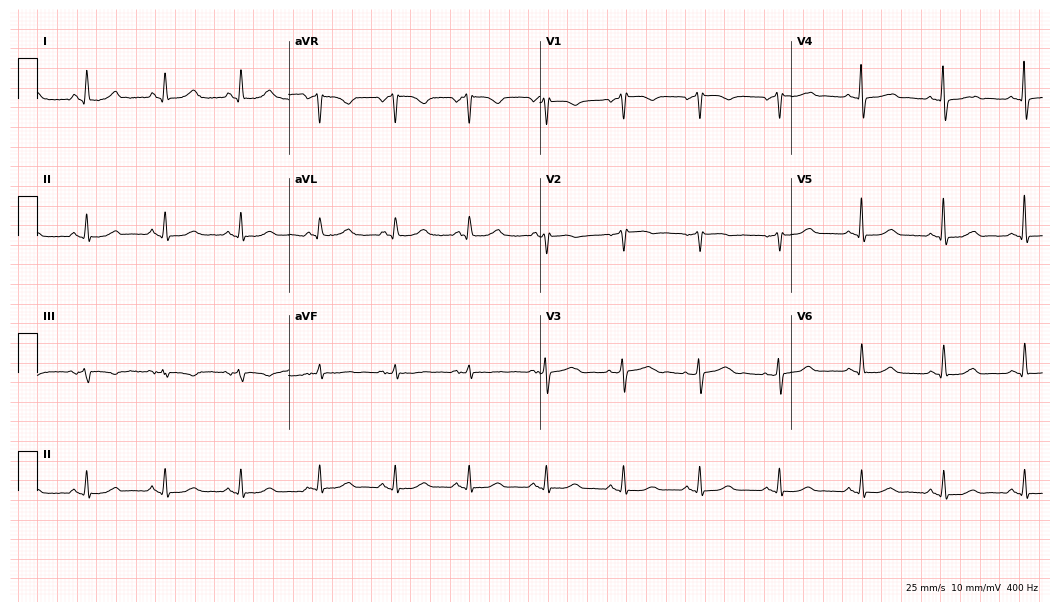
Standard 12-lead ECG recorded from a 73-year-old woman. Read as a normal ECG.